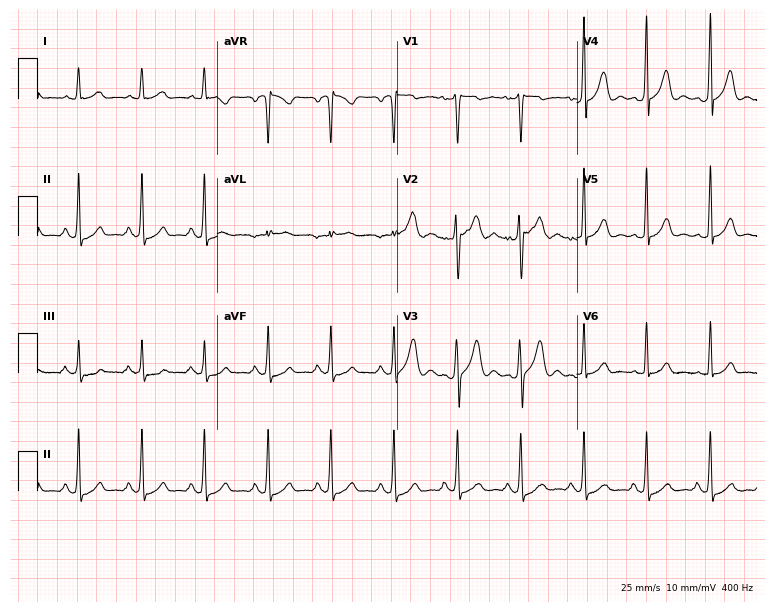
Standard 12-lead ECG recorded from a 23-year-old male (7.3-second recording at 400 Hz). None of these six findings is recorded: first-degree AV block, right bundle branch block, left bundle branch block, sinus bradycardia, atrial fibrillation, sinus tachycardia. Only these six findings were labelled.